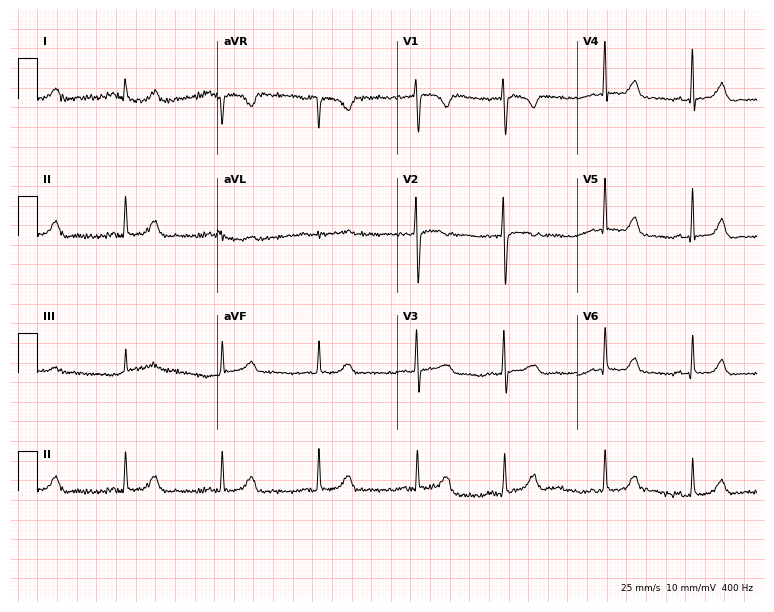
12-lead ECG (7.3-second recording at 400 Hz) from a woman, 28 years old. Screened for six findings — first-degree AV block, right bundle branch block (RBBB), left bundle branch block (LBBB), sinus bradycardia, atrial fibrillation (AF), sinus tachycardia — none is recorded. Findings outside these six are not listed.